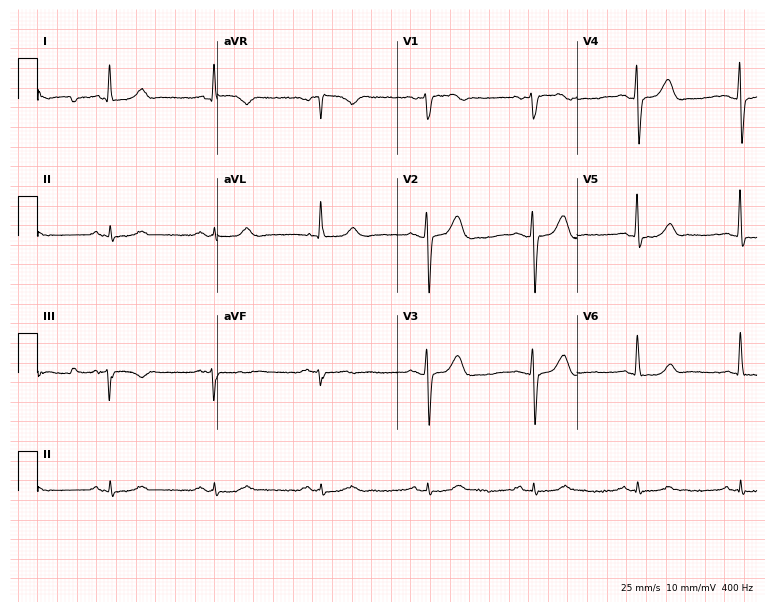
Electrocardiogram, a 60-year-old man. Overall reading on record: normal ECG.